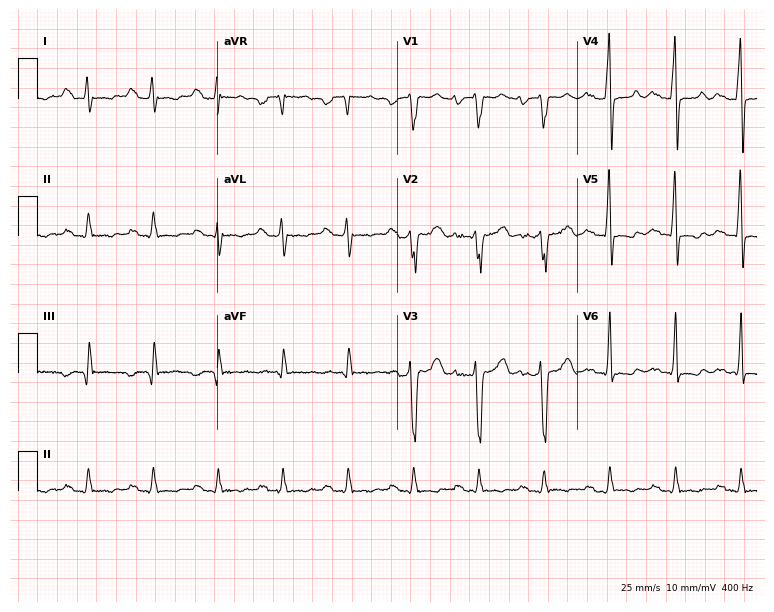
ECG (7.3-second recording at 400 Hz) — a male, 40 years old. Screened for six findings — first-degree AV block, right bundle branch block, left bundle branch block, sinus bradycardia, atrial fibrillation, sinus tachycardia — none is recorded.